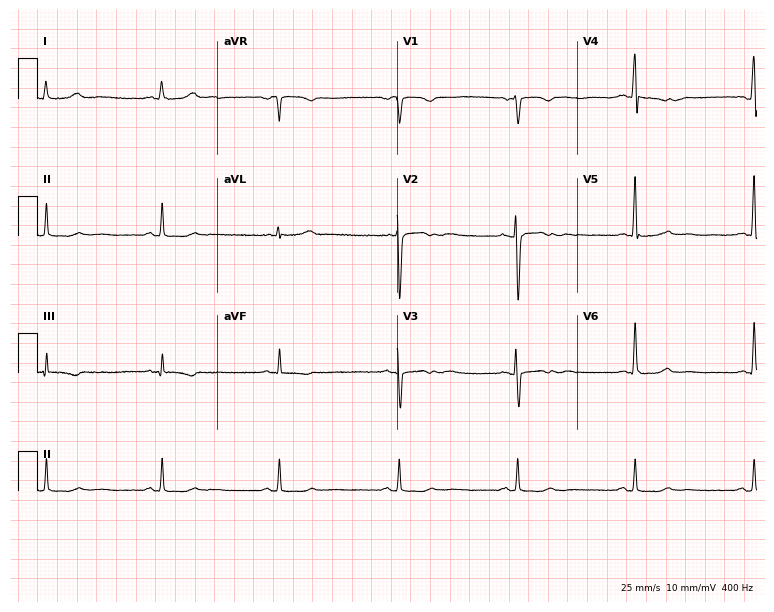
Resting 12-lead electrocardiogram. Patient: a 53-year-old female. None of these six findings is recorded: first-degree AV block, right bundle branch block, left bundle branch block, sinus bradycardia, atrial fibrillation, sinus tachycardia. Findings outside these six are not listed.